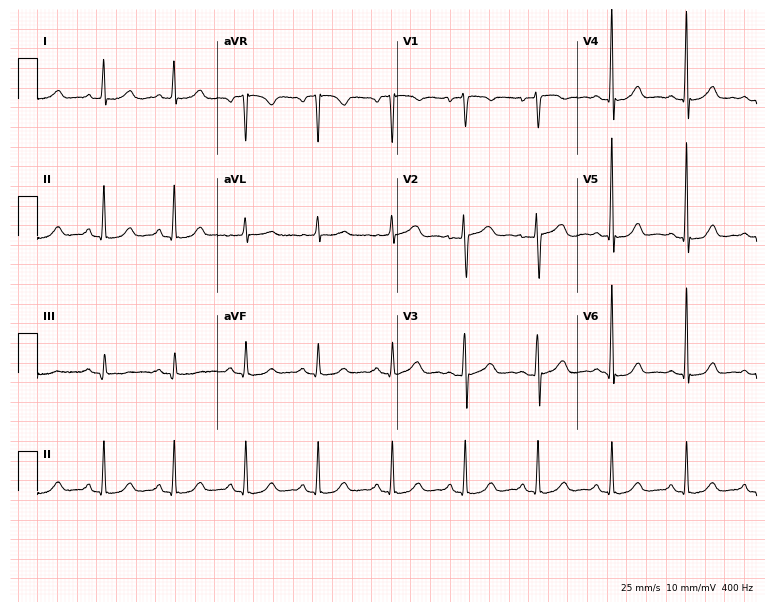
Resting 12-lead electrocardiogram (7.3-second recording at 400 Hz). Patient: a female, 50 years old. Read as a normal ECG.